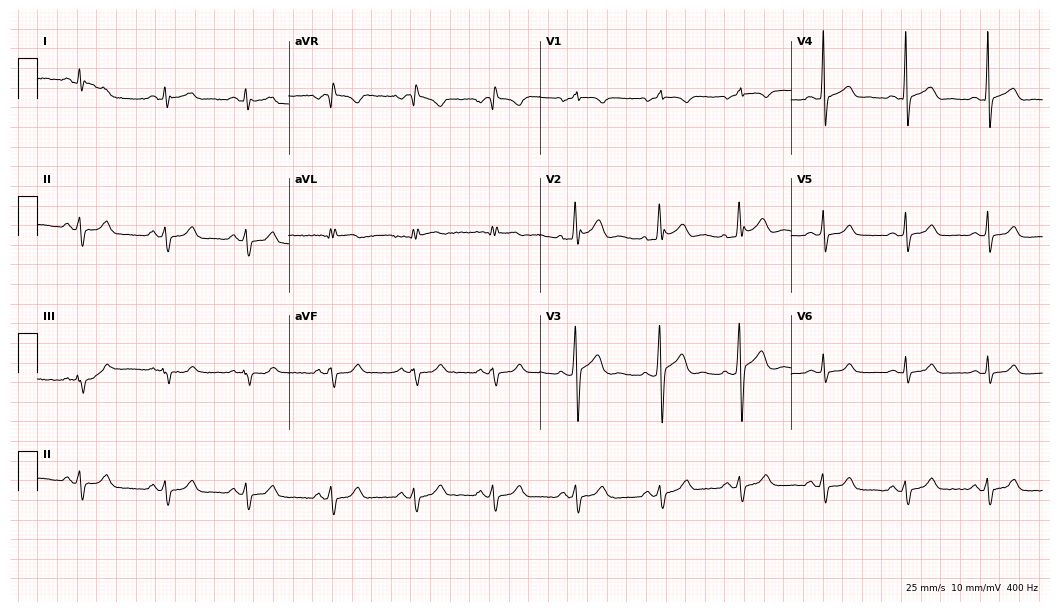
12-lead ECG from a man, 19 years old. Screened for six findings — first-degree AV block, right bundle branch block, left bundle branch block, sinus bradycardia, atrial fibrillation, sinus tachycardia — none is recorded. Other findings, if any, are not listed.